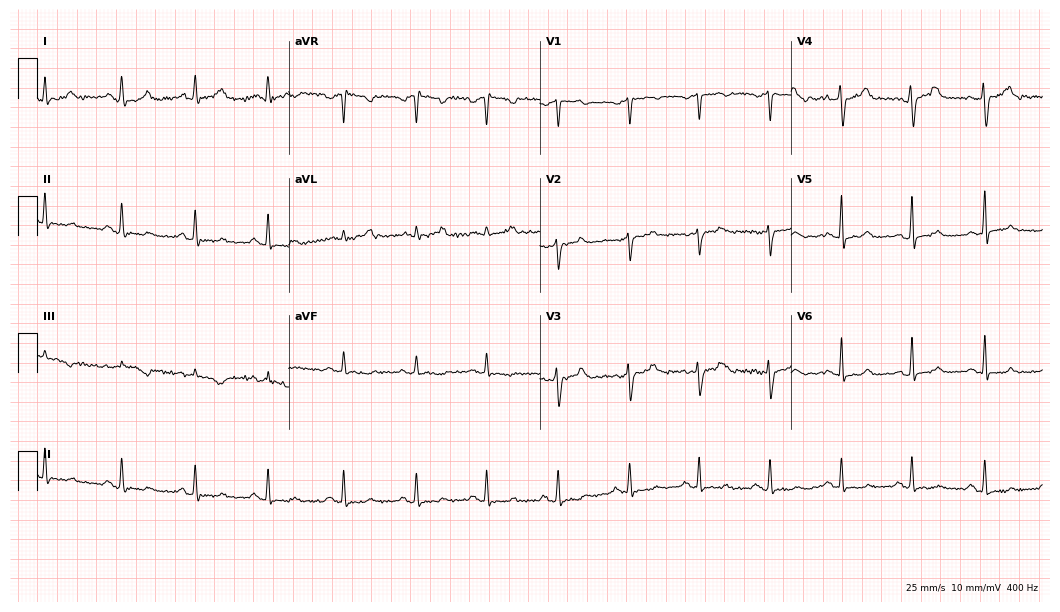
Resting 12-lead electrocardiogram. Patient: a 24-year-old female. None of these six findings is recorded: first-degree AV block, right bundle branch block (RBBB), left bundle branch block (LBBB), sinus bradycardia, atrial fibrillation (AF), sinus tachycardia. Only these six findings were labelled.